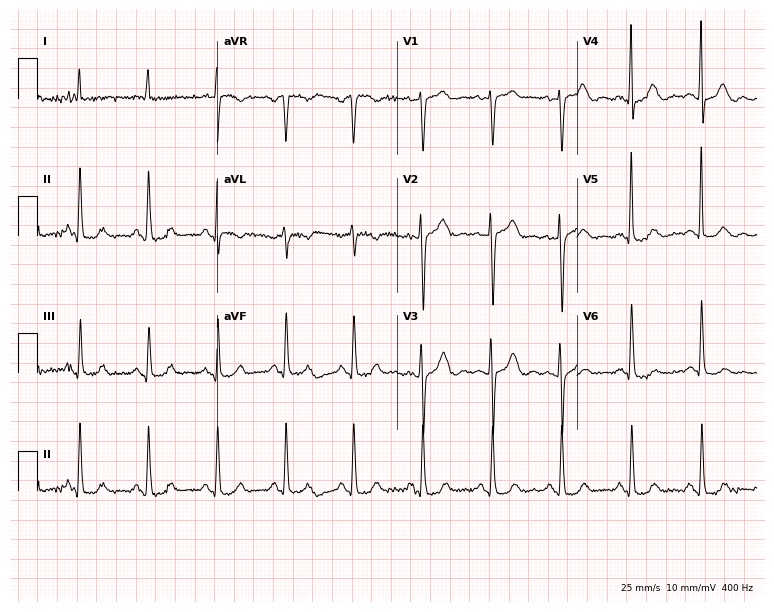
Electrocardiogram, a 61-year-old female. Of the six screened findings (first-degree AV block, right bundle branch block, left bundle branch block, sinus bradycardia, atrial fibrillation, sinus tachycardia), none is recorded.